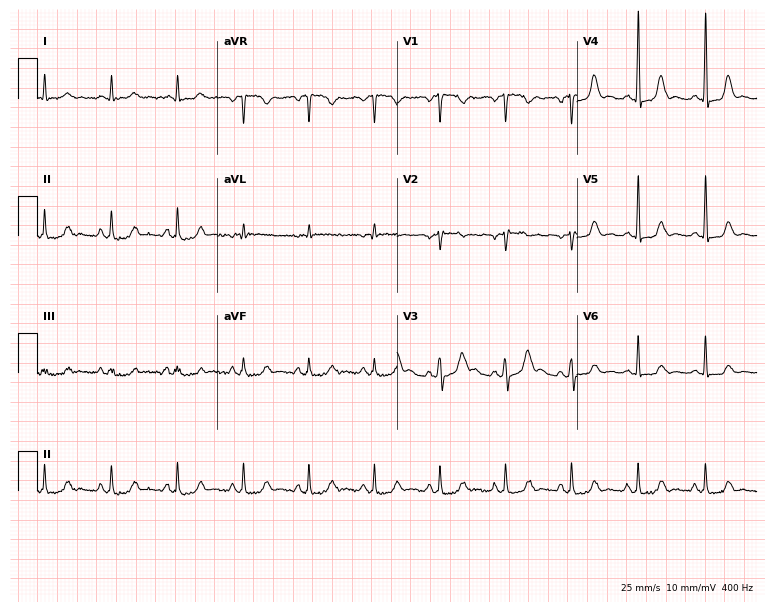
Electrocardiogram, a female, 45 years old. Of the six screened findings (first-degree AV block, right bundle branch block, left bundle branch block, sinus bradycardia, atrial fibrillation, sinus tachycardia), none is recorded.